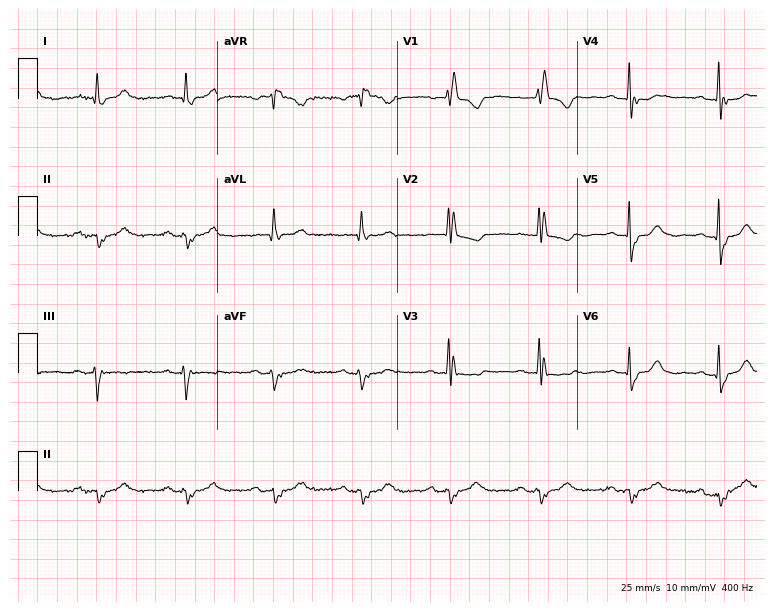
12-lead ECG from a 66-year-old female (7.3-second recording at 400 Hz). No first-degree AV block, right bundle branch block, left bundle branch block, sinus bradycardia, atrial fibrillation or sinus tachycardia recorded for this tracing.